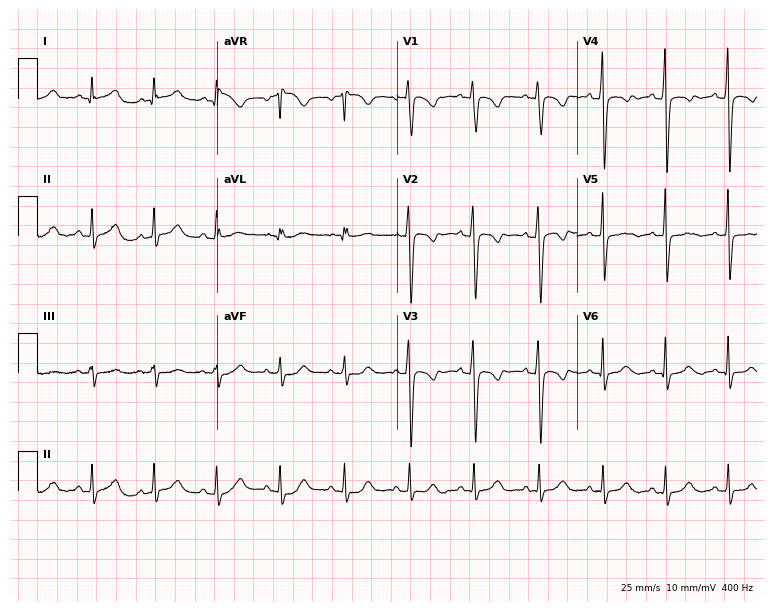
12-lead ECG (7.3-second recording at 400 Hz) from a woman, 31 years old. Screened for six findings — first-degree AV block, right bundle branch block, left bundle branch block, sinus bradycardia, atrial fibrillation, sinus tachycardia — none is recorded. Findings outside these six are not listed.